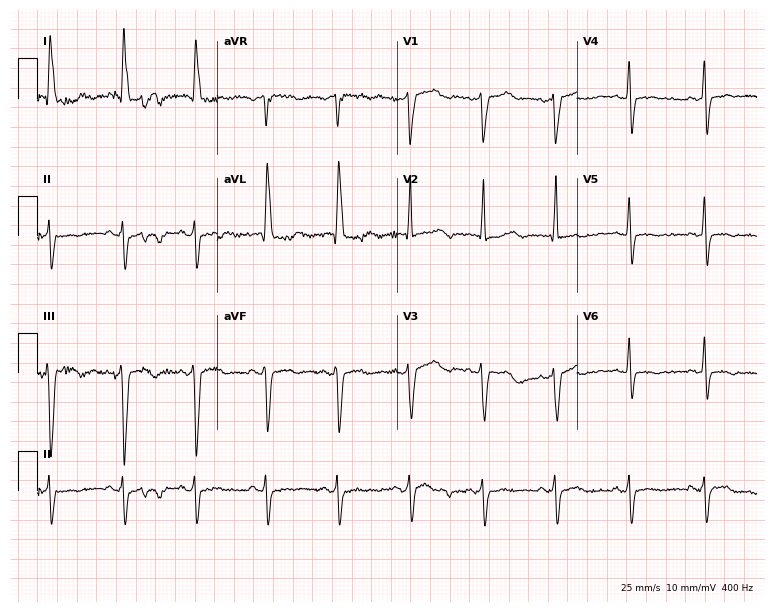
Resting 12-lead electrocardiogram. Patient: a female, 85 years old. None of these six findings is recorded: first-degree AV block, right bundle branch block, left bundle branch block, sinus bradycardia, atrial fibrillation, sinus tachycardia. Other findings, if any, are not listed.